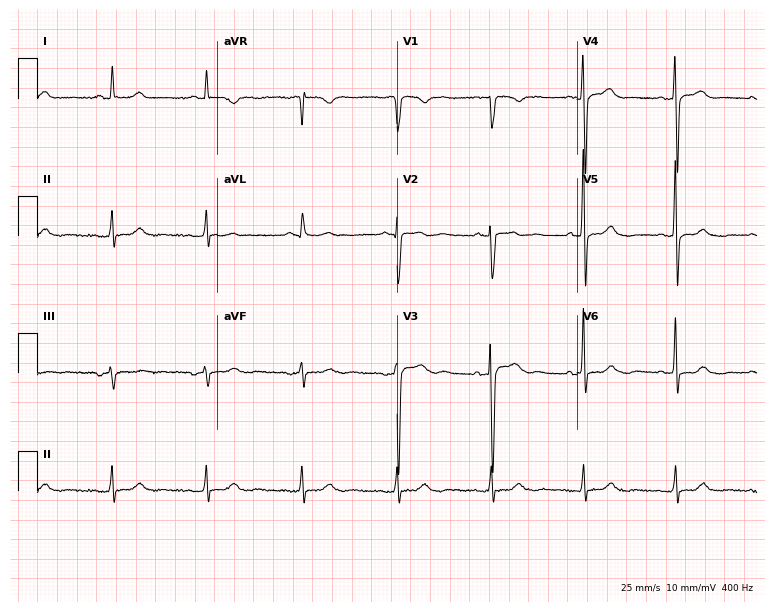
Resting 12-lead electrocardiogram. Patient: a male, 71 years old. Read as a normal ECG.